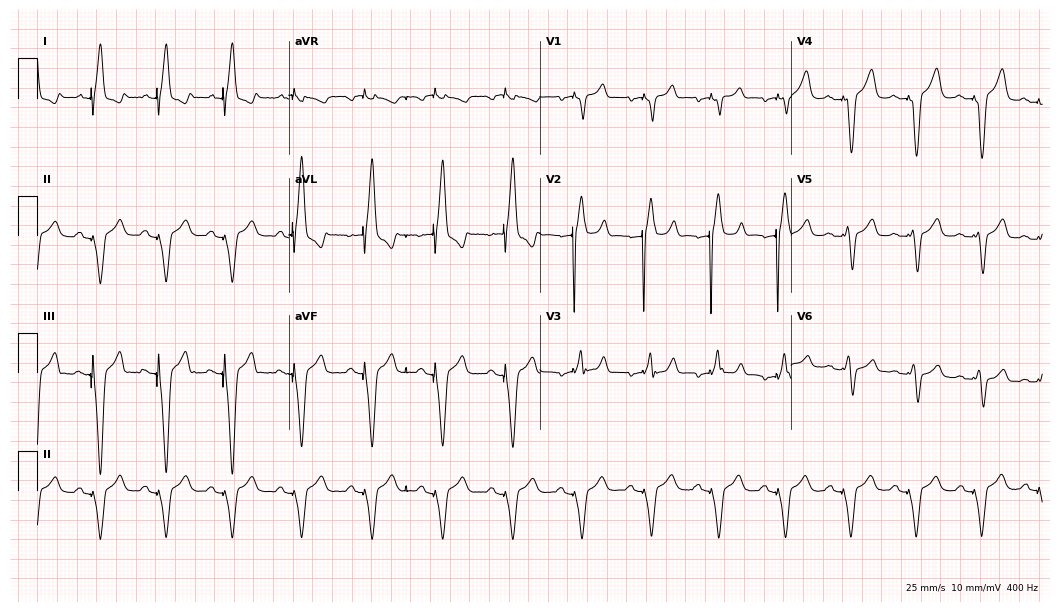
Electrocardiogram (10.2-second recording at 400 Hz), a 42-year-old male patient. Of the six screened findings (first-degree AV block, right bundle branch block, left bundle branch block, sinus bradycardia, atrial fibrillation, sinus tachycardia), none is recorded.